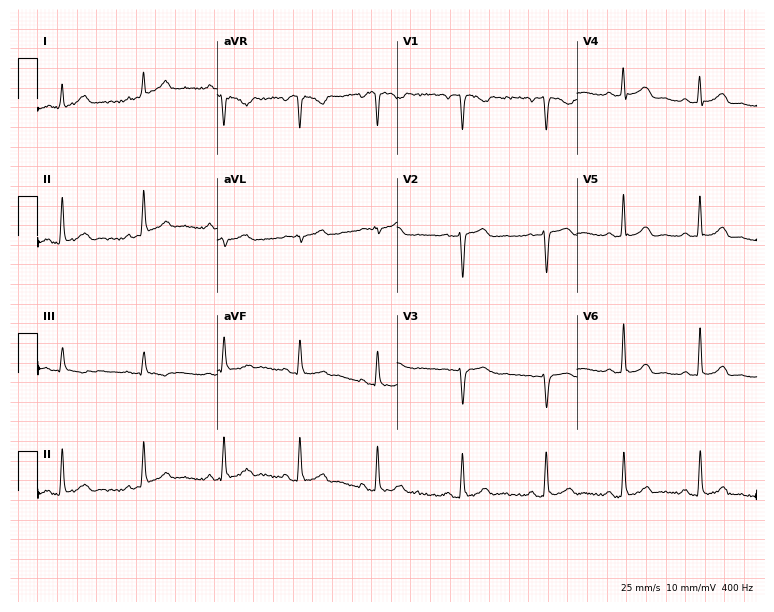
12-lead ECG from a female, 28 years old (7.3-second recording at 400 Hz). No first-degree AV block, right bundle branch block, left bundle branch block, sinus bradycardia, atrial fibrillation or sinus tachycardia recorded for this tracing.